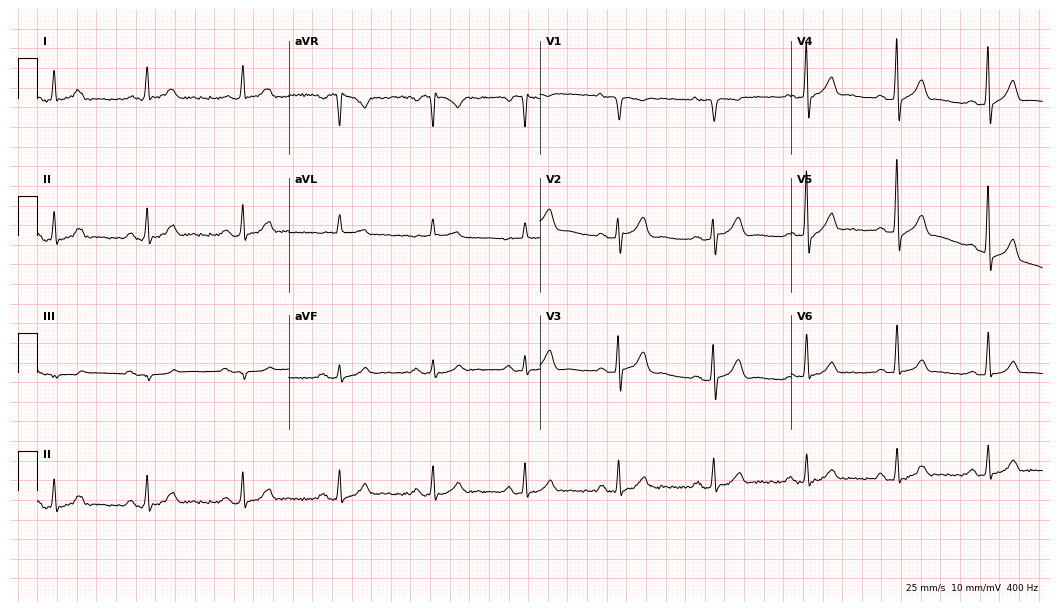
Resting 12-lead electrocardiogram. Patient: a 63-year-old male. None of these six findings is recorded: first-degree AV block, right bundle branch block, left bundle branch block, sinus bradycardia, atrial fibrillation, sinus tachycardia.